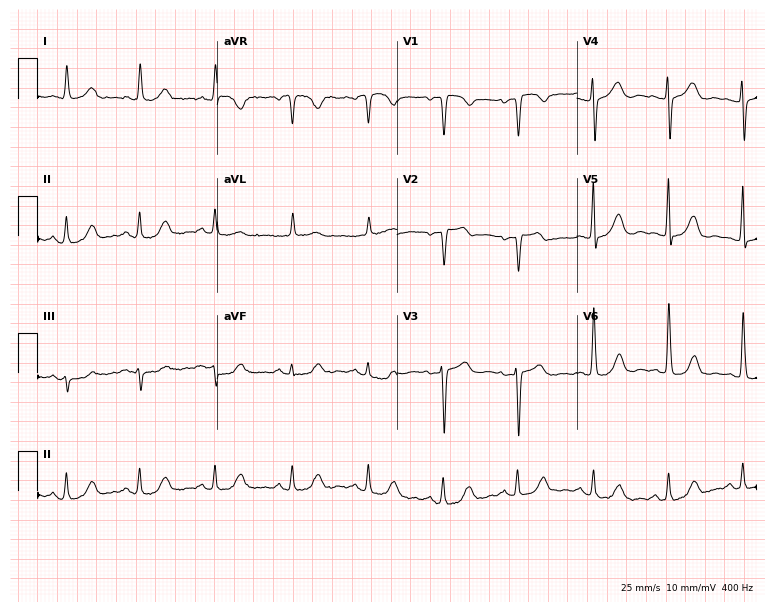
12-lead ECG (7.3-second recording at 400 Hz) from a 72-year-old female. Screened for six findings — first-degree AV block, right bundle branch block, left bundle branch block, sinus bradycardia, atrial fibrillation, sinus tachycardia — none is recorded.